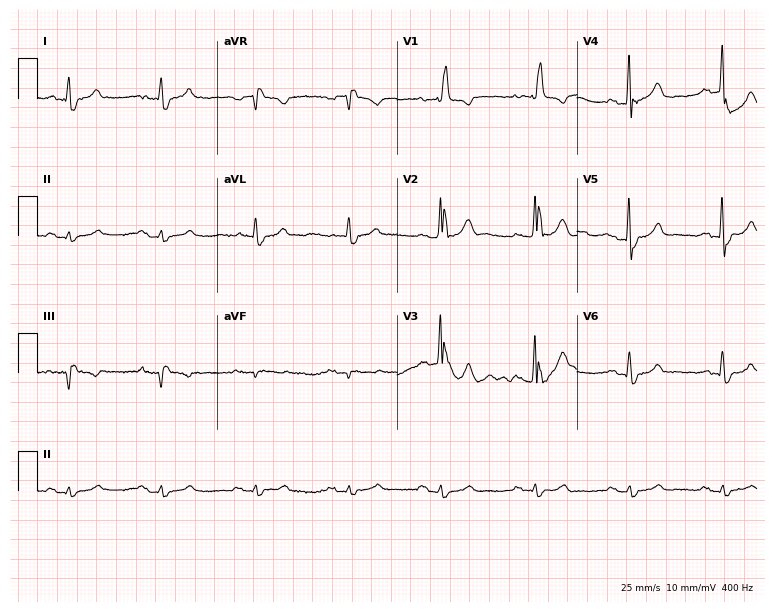
12-lead ECG from an 82-year-old male (7.3-second recording at 400 Hz). Shows right bundle branch block (RBBB).